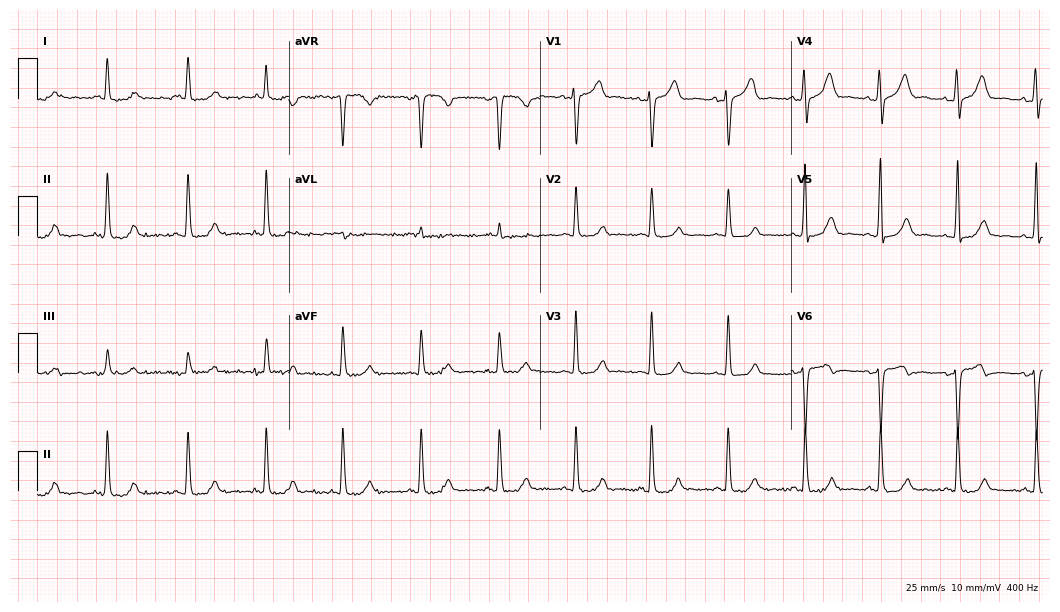
12-lead ECG from a woman, 42 years old (10.2-second recording at 400 Hz). No first-degree AV block, right bundle branch block, left bundle branch block, sinus bradycardia, atrial fibrillation or sinus tachycardia recorded for this tracing. Only these six findings were labelled.